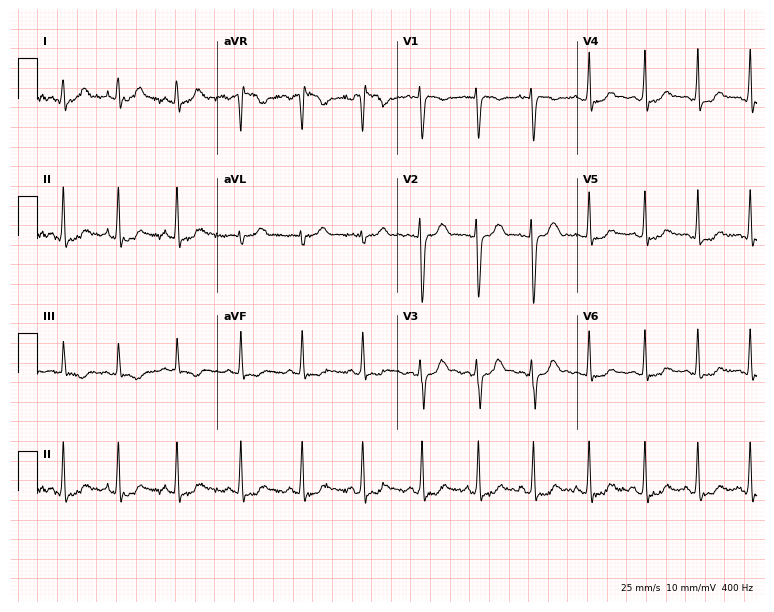
Standard 12-lead ECG recorded from a female, 18 years old. None of these six findings is recorded: first-degree AV block, right bundle branch block, left bundle branch block, sinus bradycardia, atrial fibrillation, sinus tachycardia.